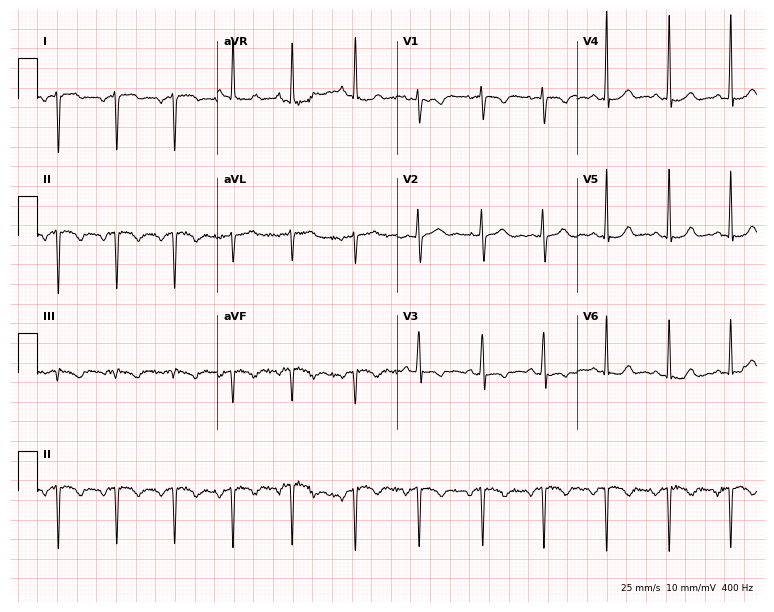
Resting 12-lead electrocardiogram. Patient: a 21-year-old woman. None of these six findings is recorded: first-degree AV block, right bundle branch block (RBBB), left bundle branch block (LBBB), sinus bradycardia, atrial fibrillation (AF), sinus tachycardia.